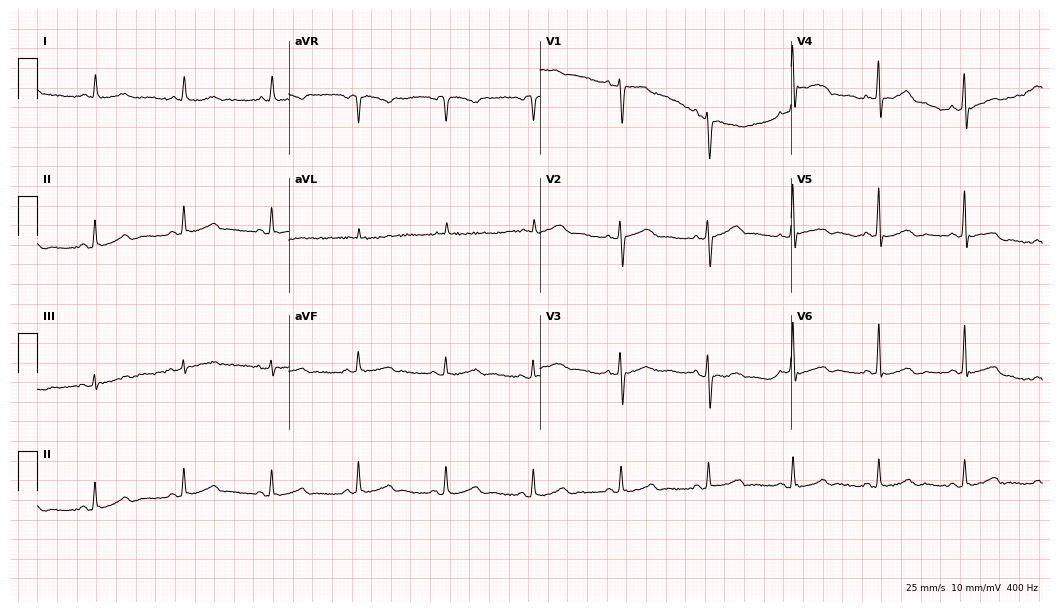
12-lead ECG (10.2-second recording at 400 Hz) from a female, 67 years old. Labelled as a normal ECG.